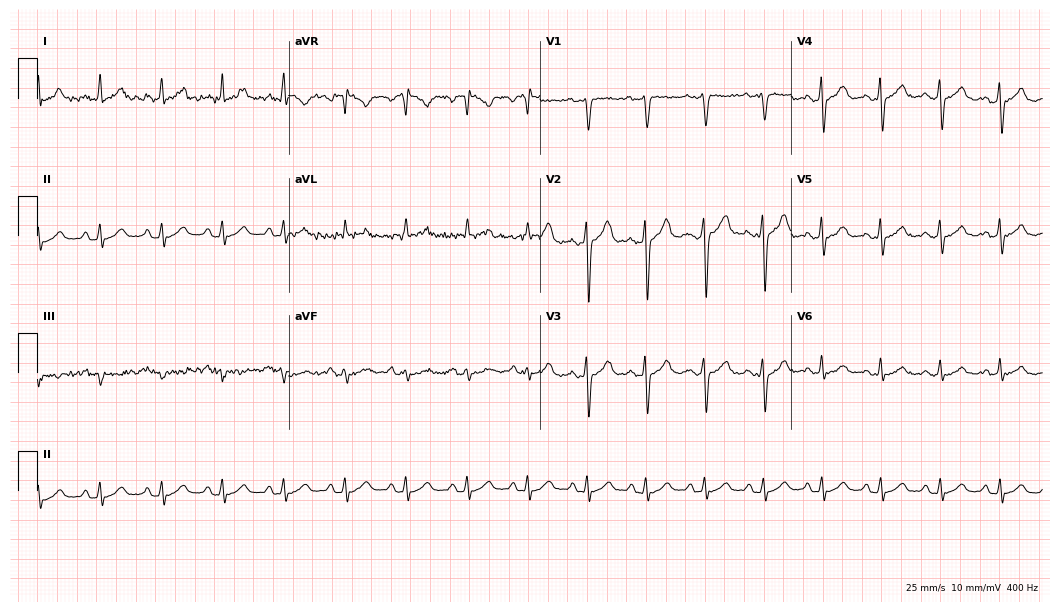
Standard 12-lead ECG recorded from a 34-year-old woman (10.2-second recording at 400 Hz). Read as a normal ECG.